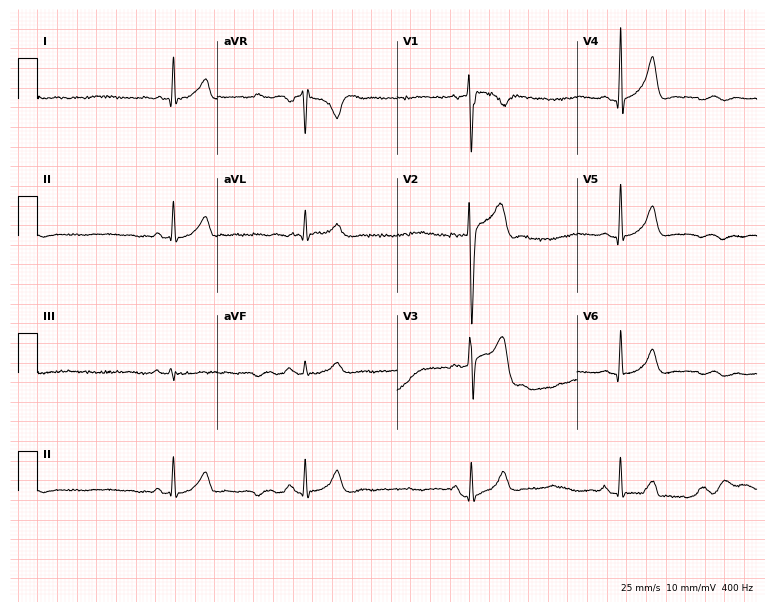
12-lead ECG from a man, 25 years old (7.3-second recording at 400 Hz). Shows sinus bradycardia (a sinus rate of 50 beats per minute or less).